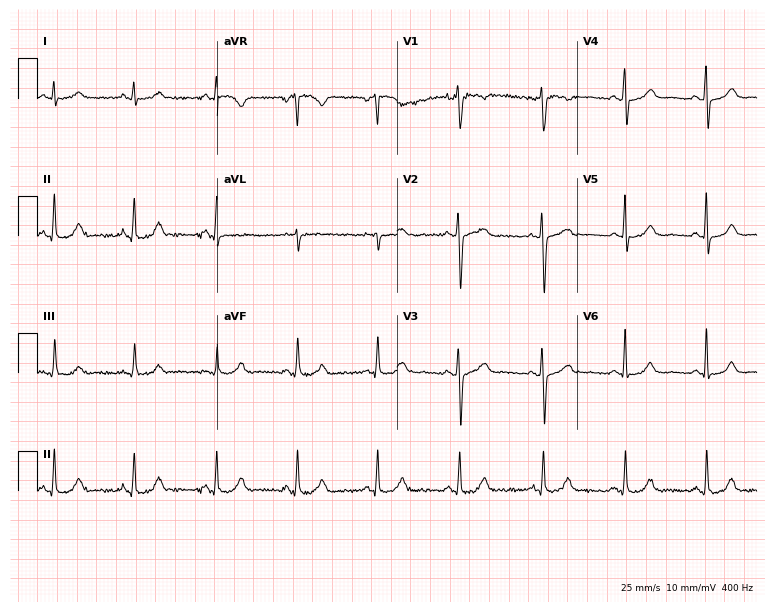
Standard 12-lead ECG recorded from a woman, 44 years old. None of these six findings is recorded: first-degree AV block, right bundle branch block (RBBB), left bundle branch block (LBBB), sinus bradycardia, atrial fibrillation (AF), sinus tachycardia.